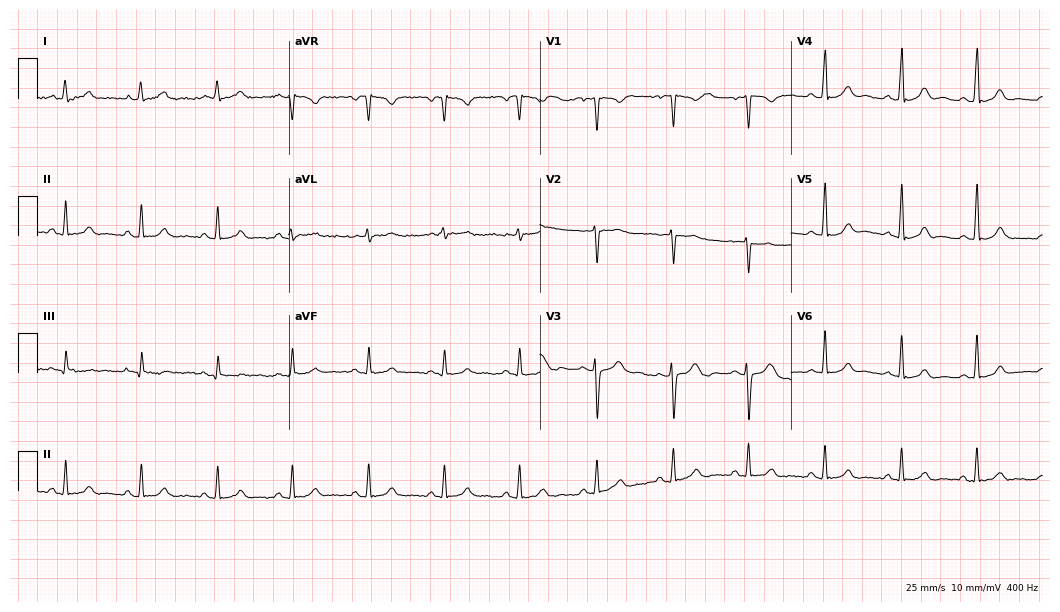
12-lead ECG (10.2-second recording at 400 Hz) from a 26-year-old woman. Labelled as a normal ECG.